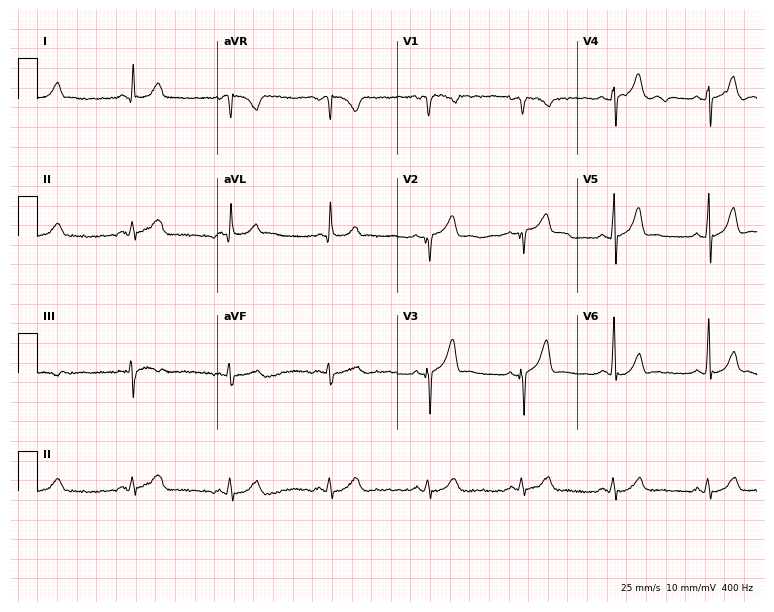
ECG (7.3-second recording at 400 Hz) — a male, 40 years old. Labelled as a normal ECG.